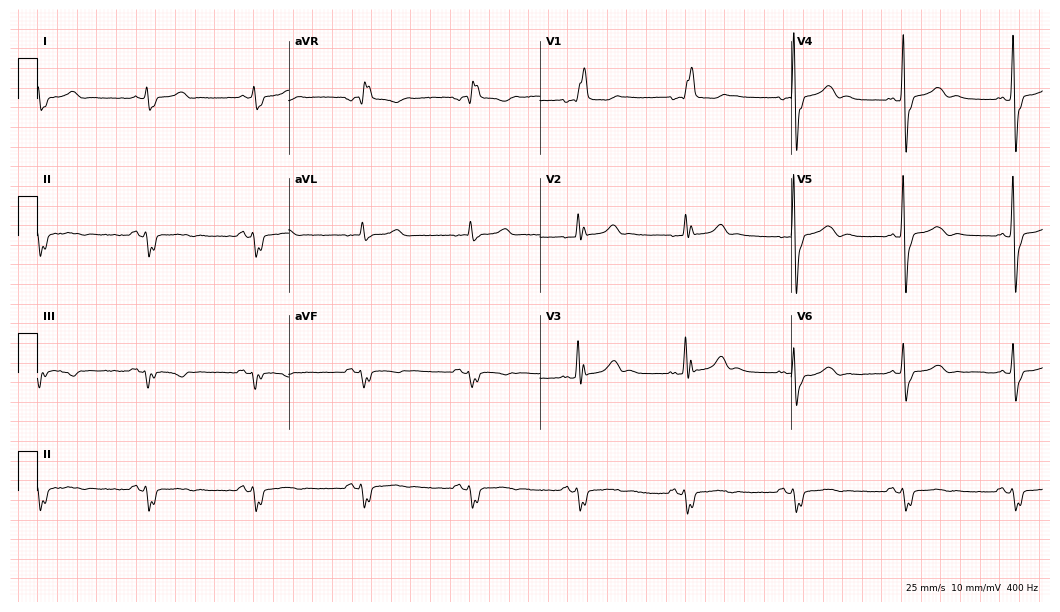
Resting 12-lead electrocardiogram (10.2-second recording at 400 Hz). Patient: a female, 62 years old. The tracing shows right bundle branch block (RBBB).